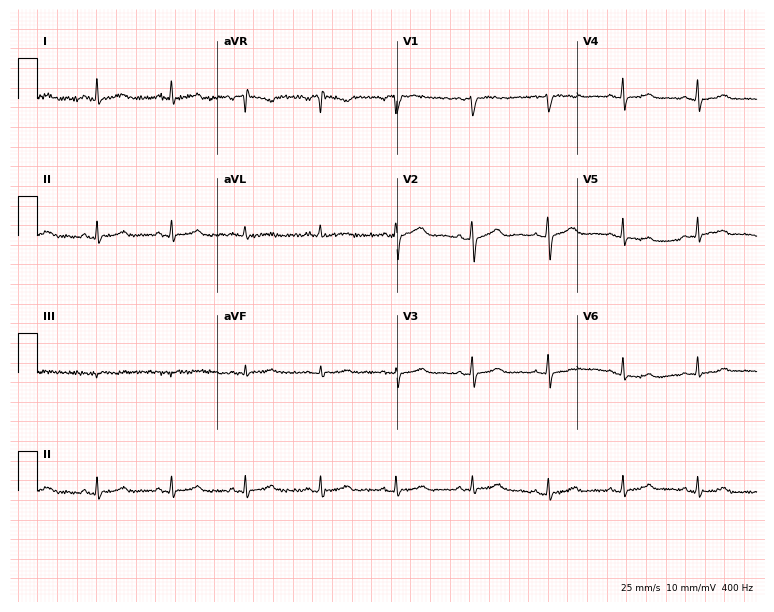
12-lead ECG (7.3-second recording at 400 Hz) from a woman, 49 years old. Screened for six findings — first-degree AV block, right bundle branch block, left bundle branch block, sinus bradycardia, atrial fibrillation, sinus tachycardia — none is recorded. Other findings, if any, are not listed.